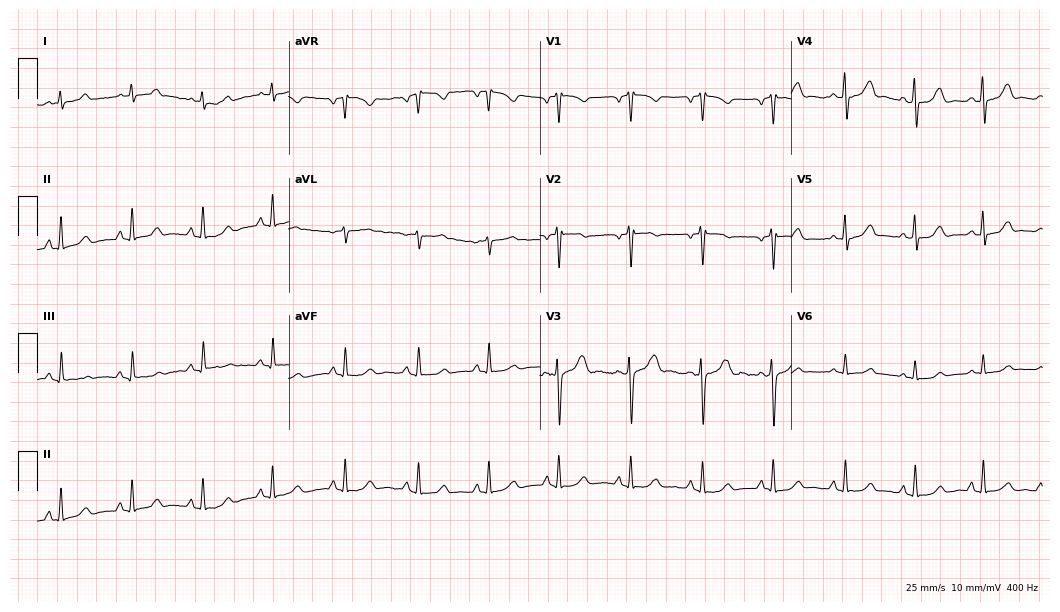
12-lead ECG (10.2-second recording at 400 Hz) from a woman, 28 years old. Labelled as a normal ECG.